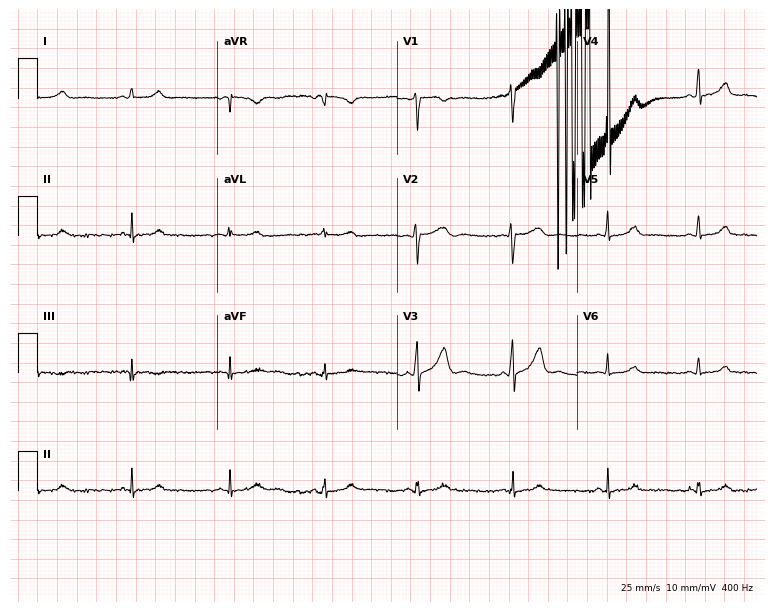
ECG (7.3-second recording at 400 Hz) — a 20-year-old female. Screened for six findings — first-degree AV block, right bundle branch block (RBBB), left bundle branch block (LBBB), sinus bradycardia, atrial fibrillation (AF), sinus tachycardia — none is recorded. Findings outside these six are not listed.